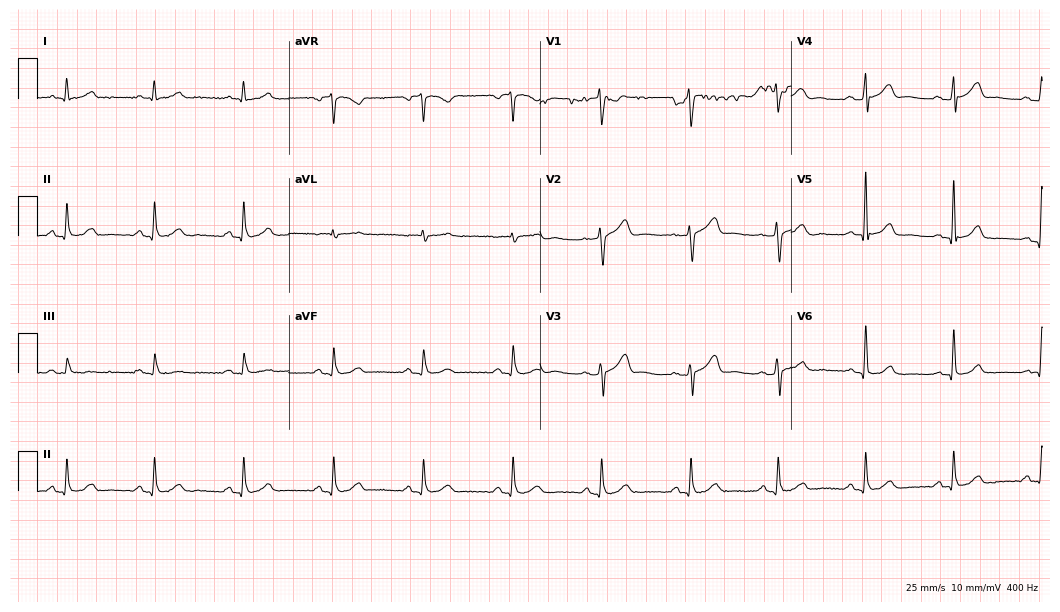
ECG — a 66-year-old man. Labelled as a normal ECG.